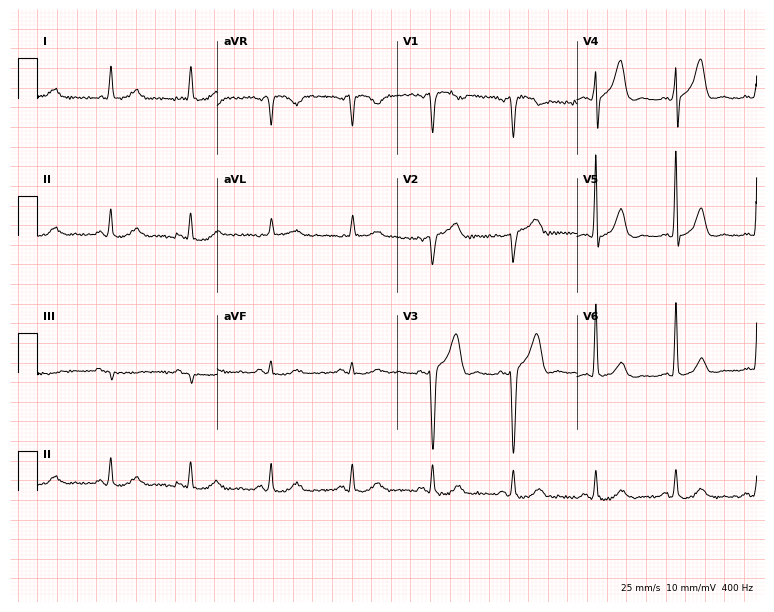
Electrocardiogram, a 71-year-old male. Of the six screened findings (first-degree AV block, right bundle branch block, left bundle branch block, sinus bradycardia, atrial fibrillation, sinus tachycardia), none is recorded.